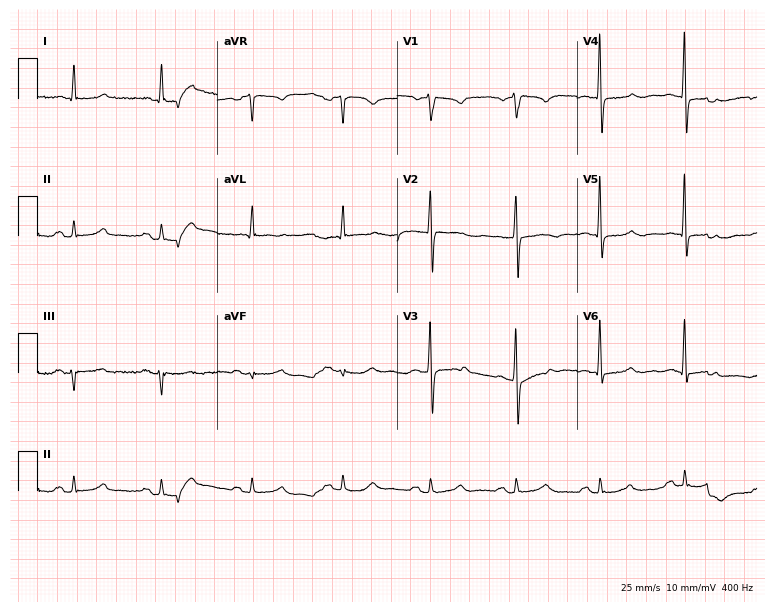
Resting 12-lead electrocardiogram (7.3-second recording at 400 Hz). Patient: a male, 63 years old. Read as a normal ECG.